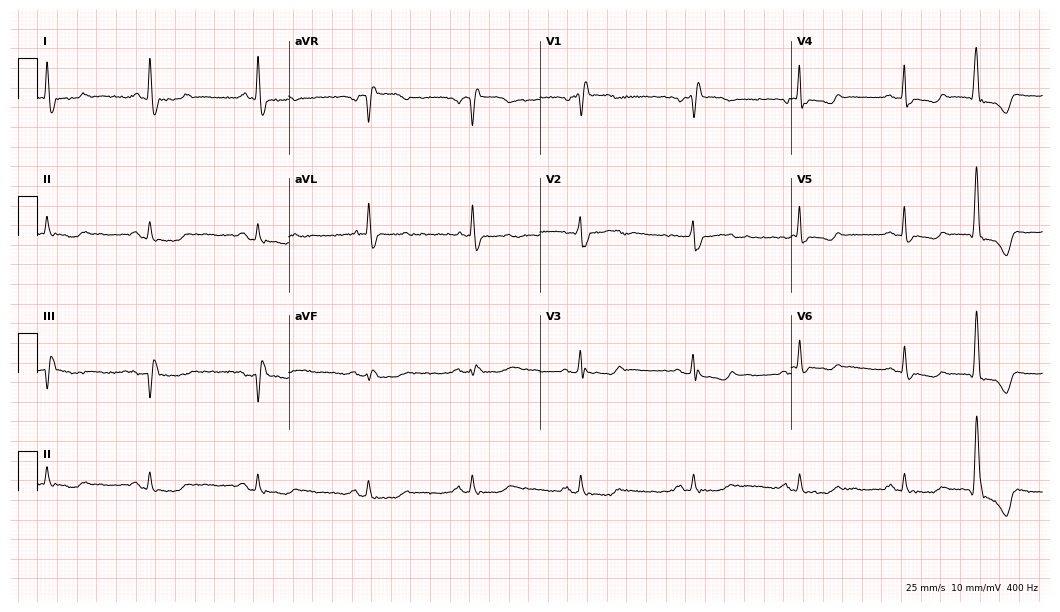
12-lead ECG from a 75-year-old female patient. Screened for six findings — first-degree AV block, right bundle branch block, left bundle branch block, sinus bradycardia, atrial fibrillation, sinus tachycardia — none is recorded.